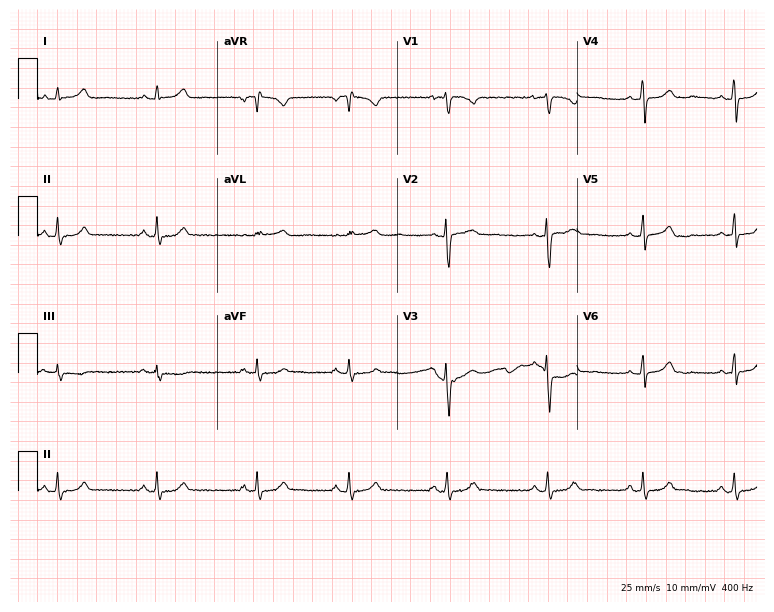
12-lead ECG from a 23-year-old female (7.3-second recording at 400 Hz). Recorded interpretation: within normal limits.